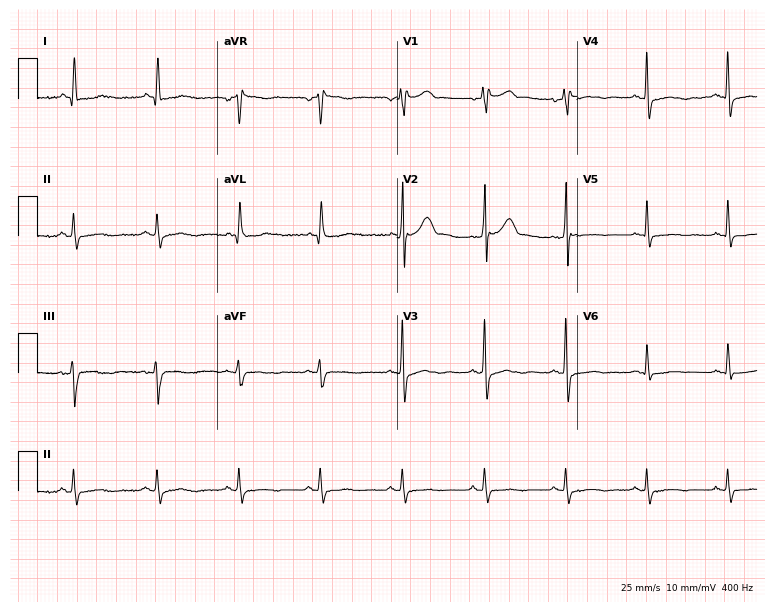
ECG (7.3-second recording at 400 Hz) — a male, 53 years old. Screened for six findings — first-degree AV block, right bundle branch block, left bundle branch block, sinus bradycardia, atrial fibrillation, sinus tachycardia — none is recorded.